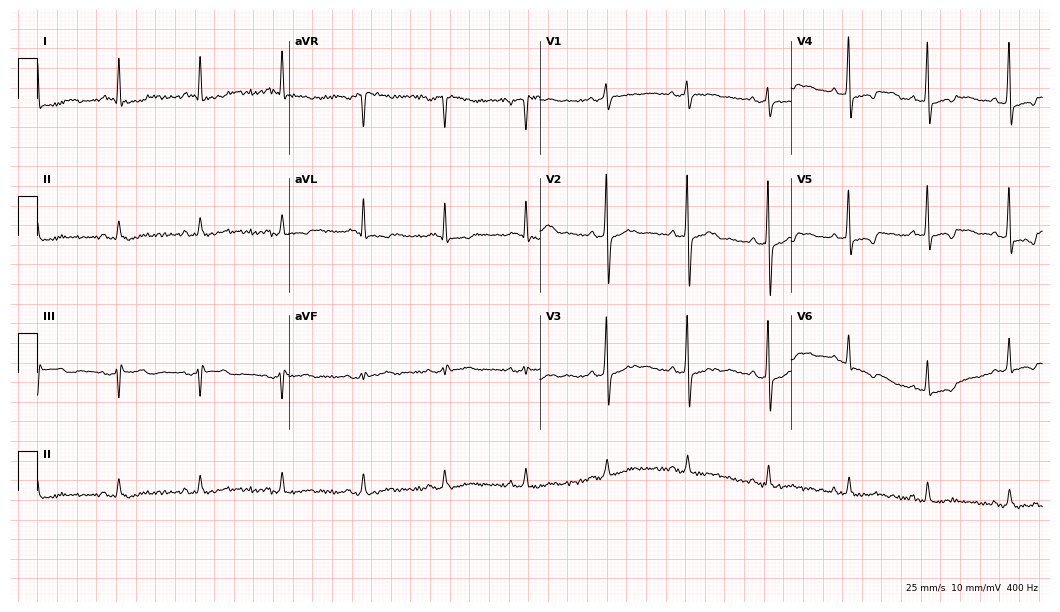
ECG (10.2-second recording at 400 Hz) — a male, 78 years old. Screened for six findings — first-degree AV block, right bundle branch block, left bundle branch block, sinus bradycardia, atrial fibrillation, sinus tachycardia — none is recorded. Only these six findings were labelled.